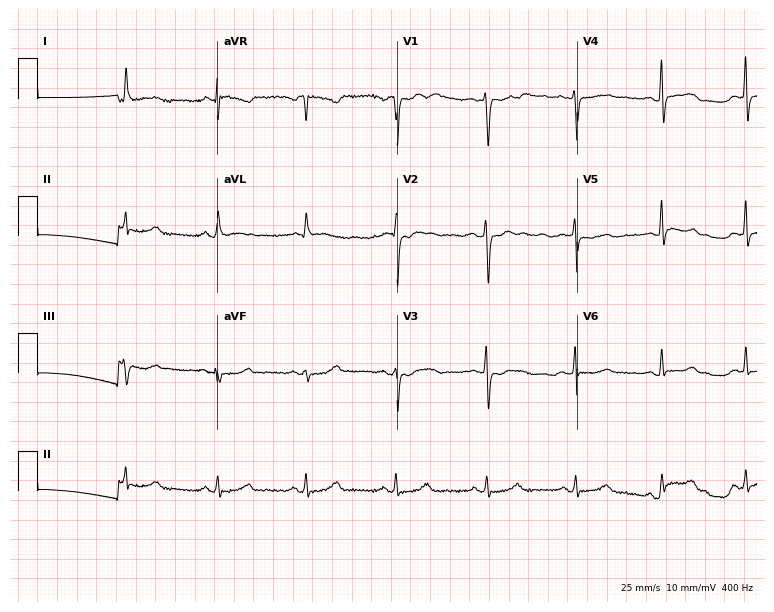
Standard 12-lead ECG recorded from a 50-year-old female patient (7.3-second recording at 400 Hz). None of these six findings is recorded: first-degree AV block, right bundle branch block, left bundle branch block, sinus bradycardia, atrial fibrillation, sinus tachycardia.